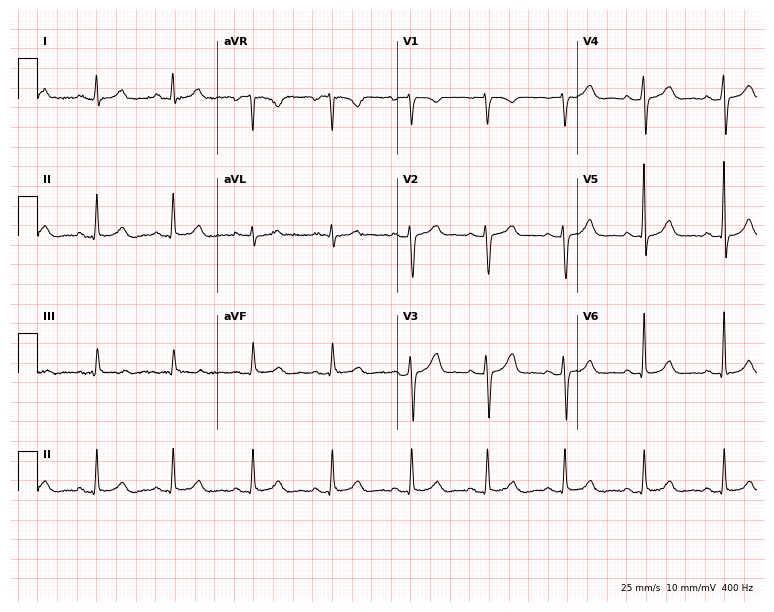
ECG — a 35-year-old woman. Screened for six findings — first-degree AV block, right bundle branch block, left bundle branch block, sinus bradycardia, atrial fibrillation, sinus tachycardia — none is recorded.